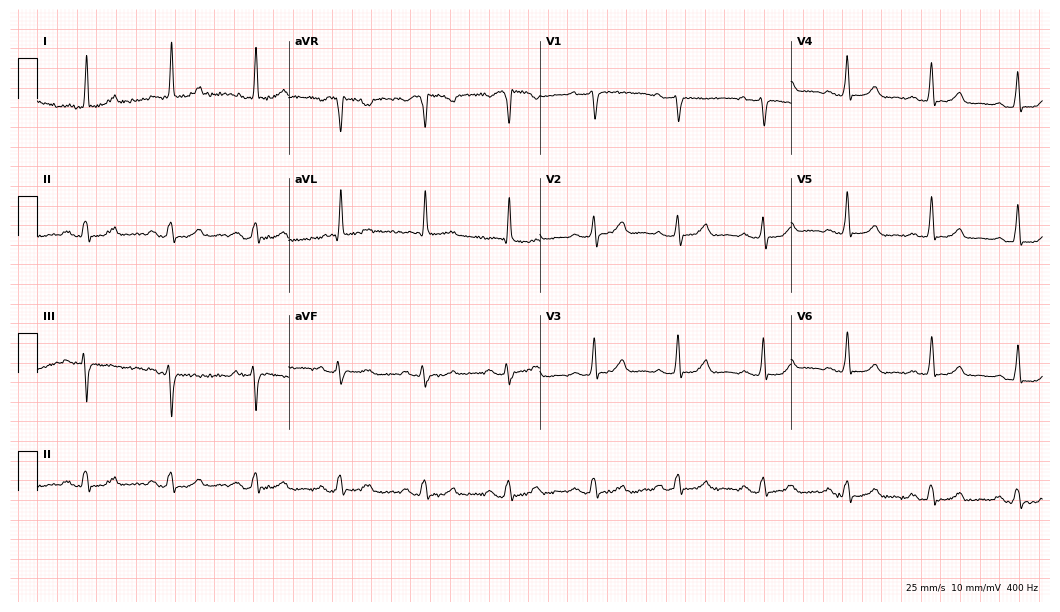
ECG — a female patient, 72 years old. Screened for six findings — first-degree AV block, right bundle branch block, left bundle branch block, sinus bradycardia, atrial fibrillation, sinus tachycardia — none is recorded. Other findings, if any, are not listed.